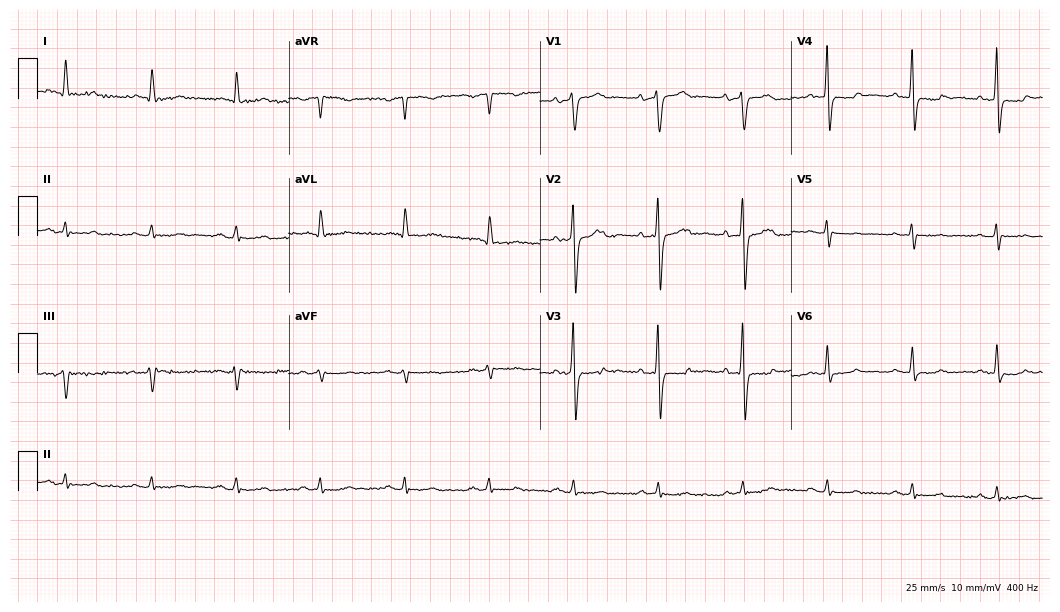
Standard 12-lead ECG recorded from a 77-year-old man (10.2-second recording at 400 Hz). None of these six findings is recorded: first-degree AV block, right bundle branch block, left bundle branch block, sinus bradycardia, atrial fibrillation, sinus tachycardia.